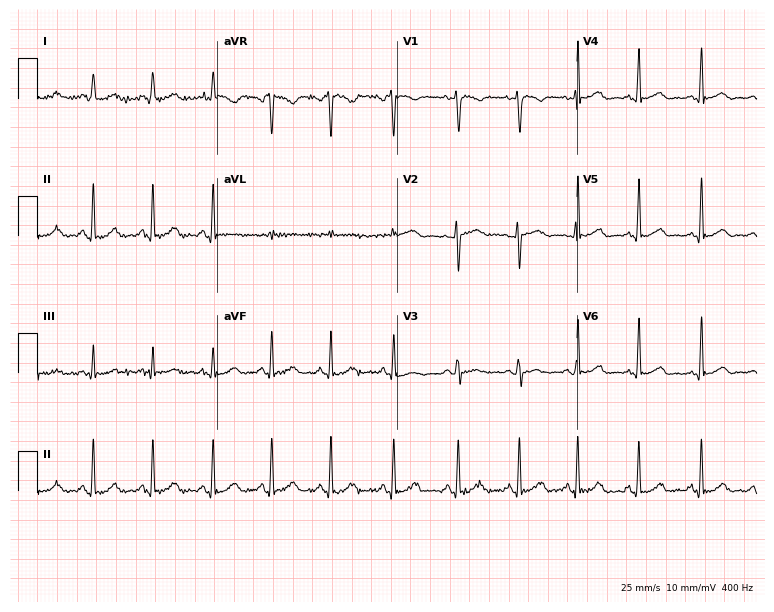
Resting 12-lead electrocardiogram. Patient: a female, 26 years old. None of these six findings is recorded: first-degree AV block, right bundle branch block, left bundle branch block, sinus bradycardia, atrial fibrillation, sinus tachycardia. Only these six findings were labelled.